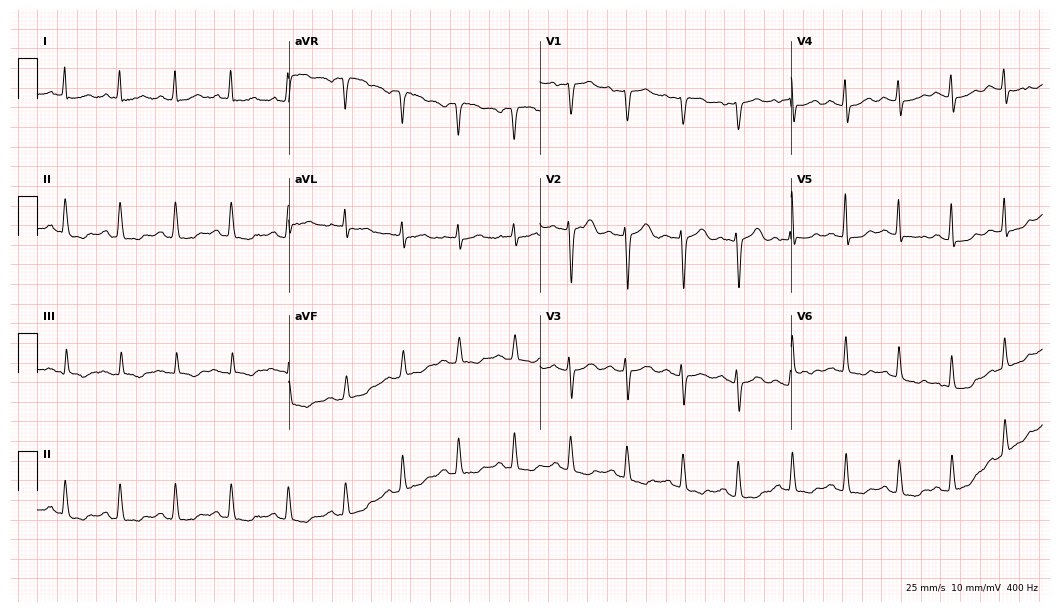
Standard 12-lead ECG recorded from a 72-year-old female. The tracing shows sinus tachycardia (a sinus rate of 100 beats per minute or more).